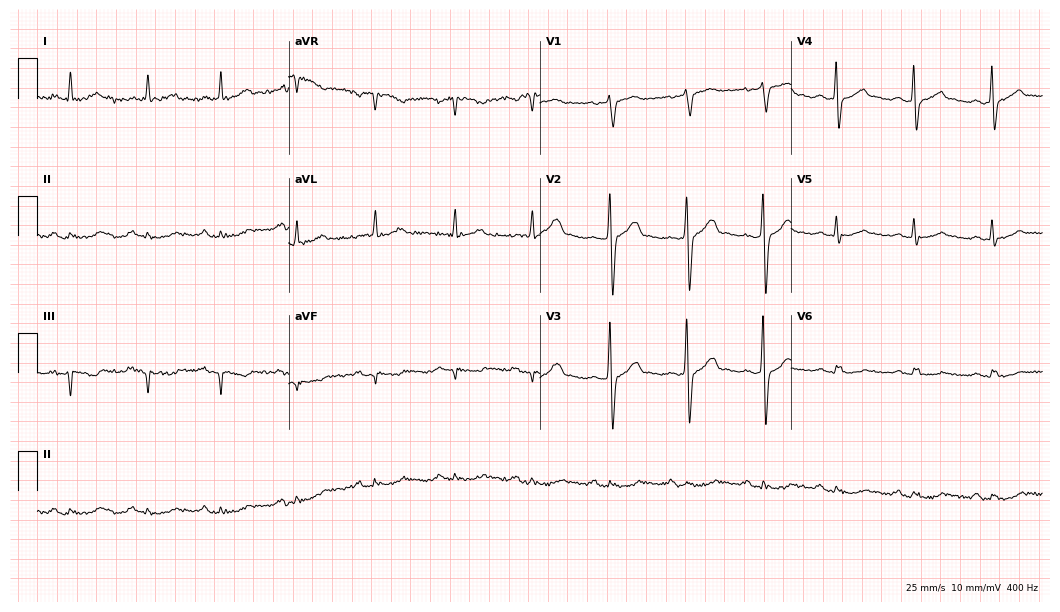
Electrocardiogram (10.2-second recording at 400 Hz), a male, 60 years old. Of the six screened findings (first-degree AV block, right bundle branch block, left bundle branch block, sinus bradycardia, atrial fibrillation, sinus tachycardia), none is recorded.